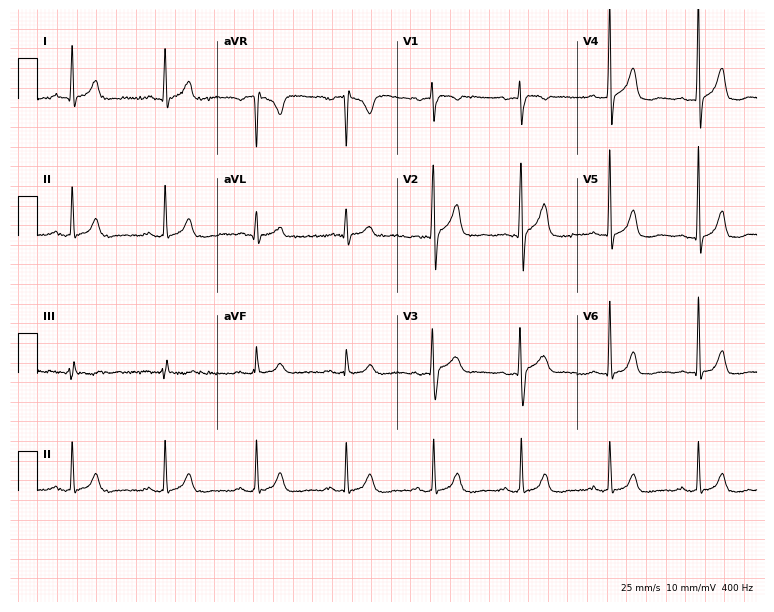
Standard 12-lead ECG recorded from a 52-year-old man. None of these six findings is recorded: first-degree AV block, right bundle branch block (RBBB), left bundle branch block (LBBB), sinus bradycardia, atrial fibrillation (AF), sinus tachycardia.